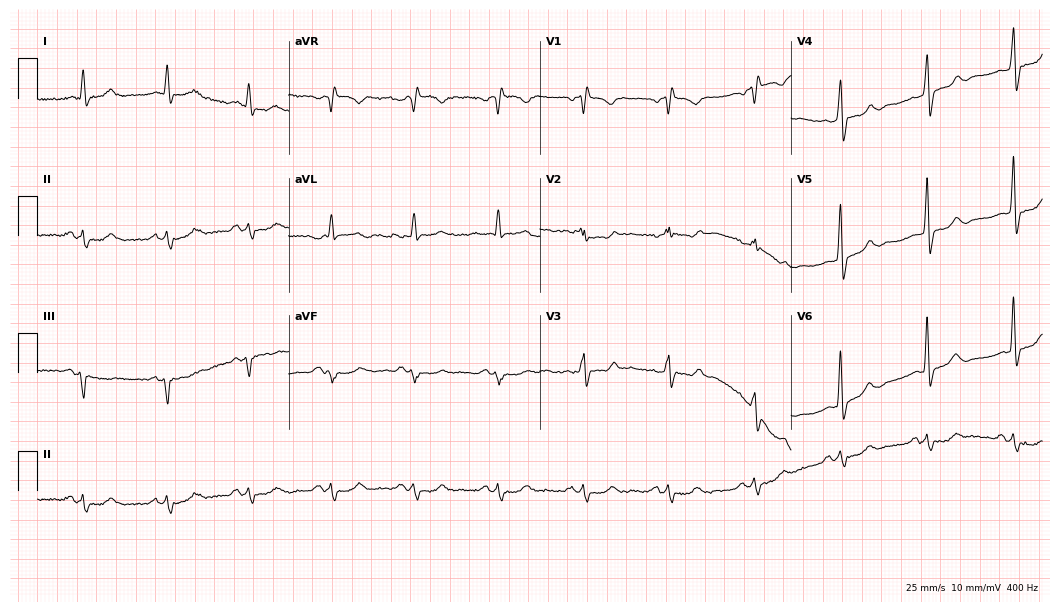
Resting 12-lead electrocardiogram (10.2-second recording at 400 Hz). Patient: a 72-year-old male. The tracing shows right bundle branch block (RBBB).